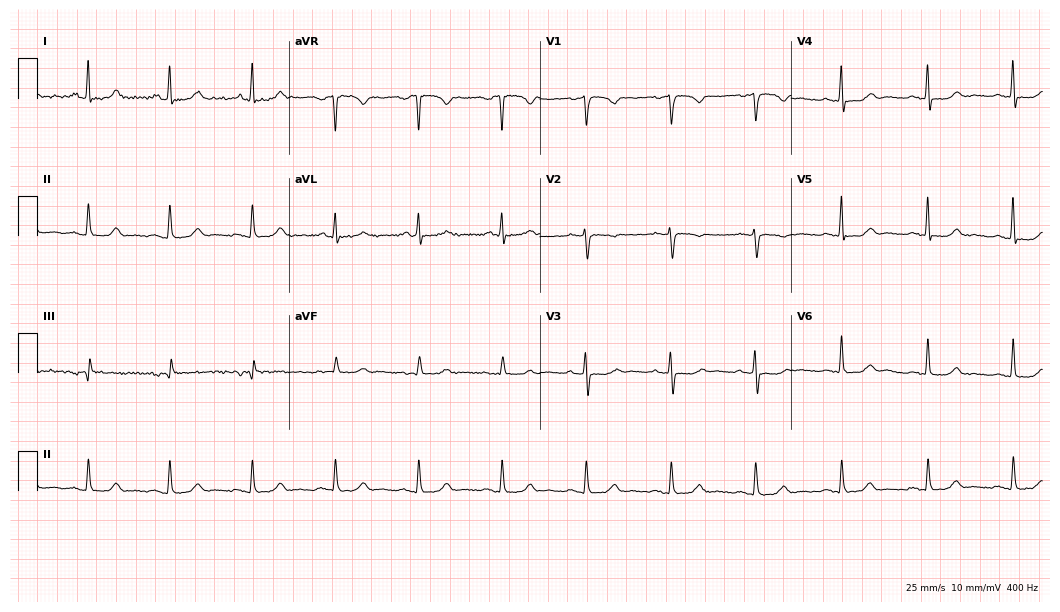
Standard 12-lead ECG recorded from a 69-year-old female patient. None of these six findings is recorded: first-degree AV block, right bundle branch block, left bundle branch block, sinus bradycardia, atrial fibrillation, sinus tachycardia. Findings outside these six are not listed.